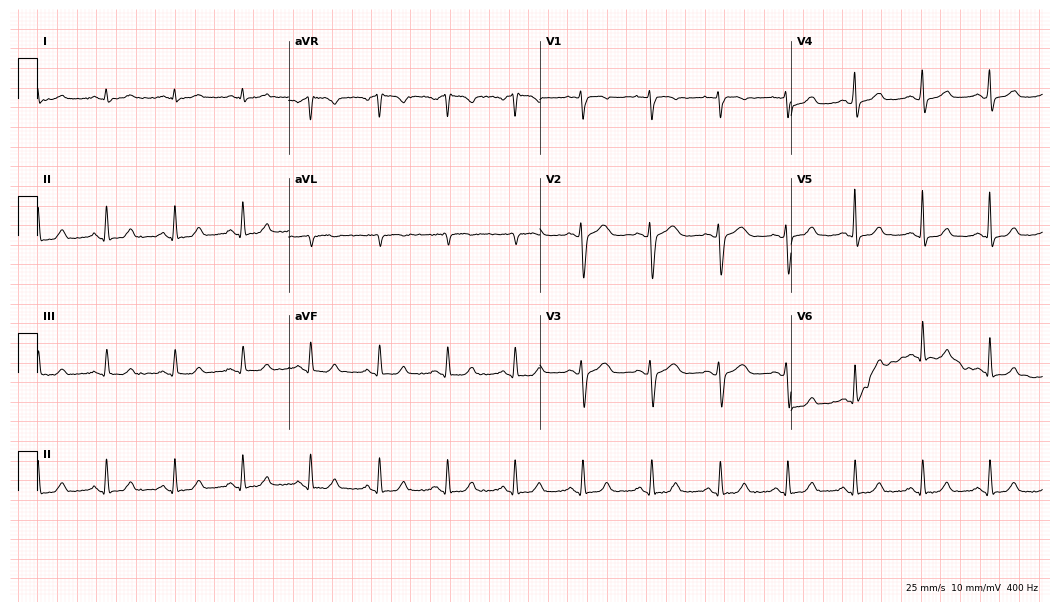
Resting 12-lead electrocardiogram (10.2-second recording at 400 Hz). Patient: a female, 49 years old. Read as a normal ECG.